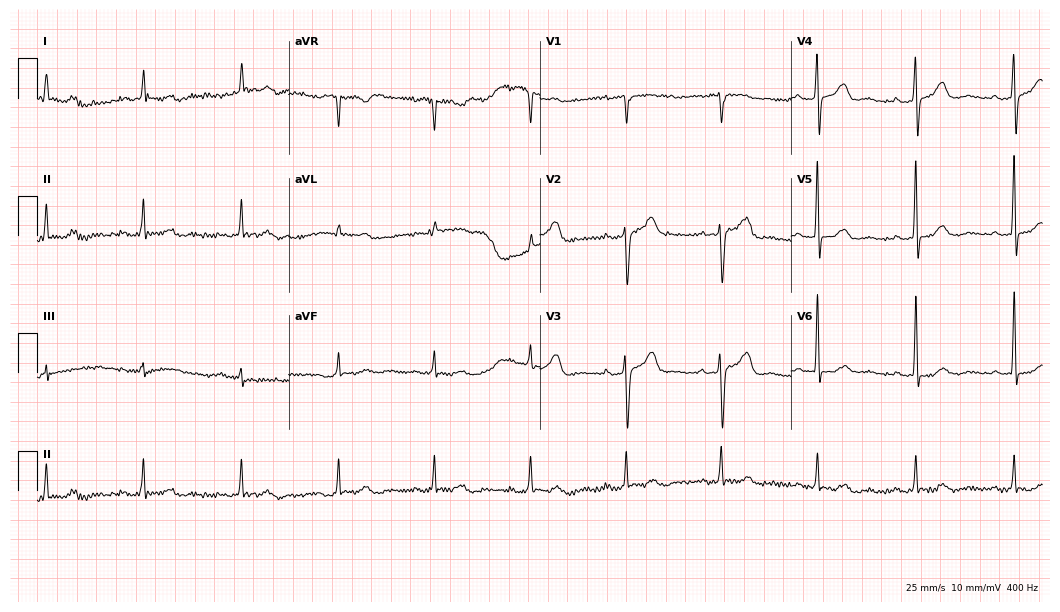
Resting 12-lead electrocardiogram. Patient: a man, 68 years old. None of these six findings is recorded: first-degree AV block, right bundle branch block, left bundle branch block, sinus bradycardia, atrial fibrillation, sinus tachycardia.